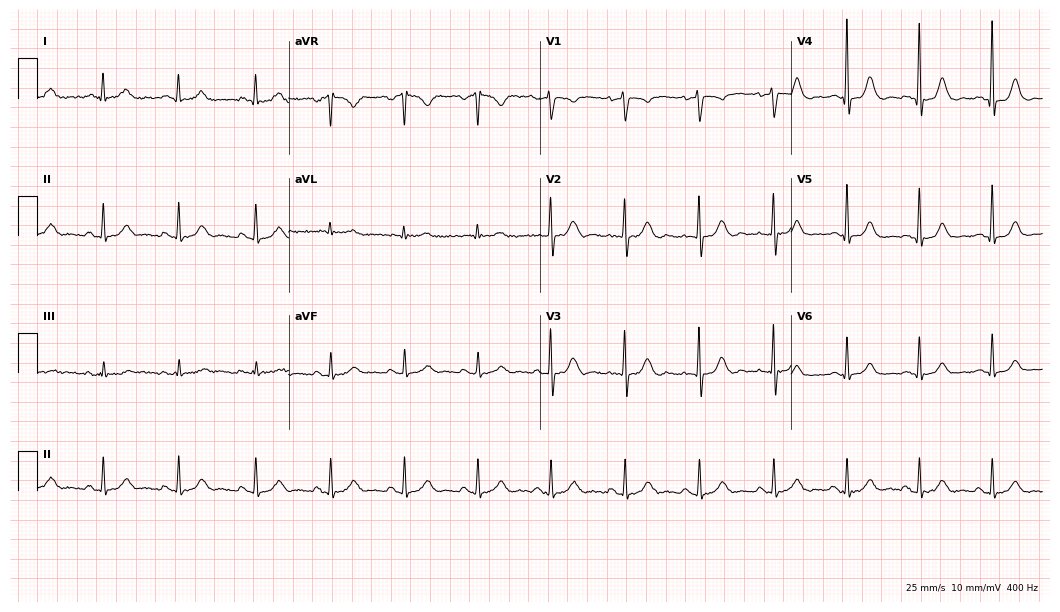
Electrocardiogram (10.2-second recording at 400 Hz), a male, 54 years old. Overall reading on record: normal ECG.